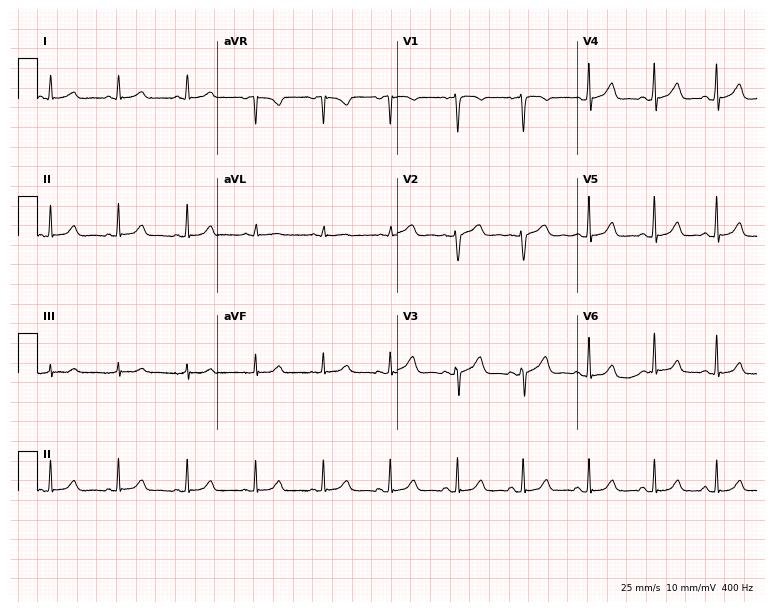
Standard 12-lead ECG recorded from a female, 47 years old (7.3-second recording at 400 Hz). Read as a normal ECG.